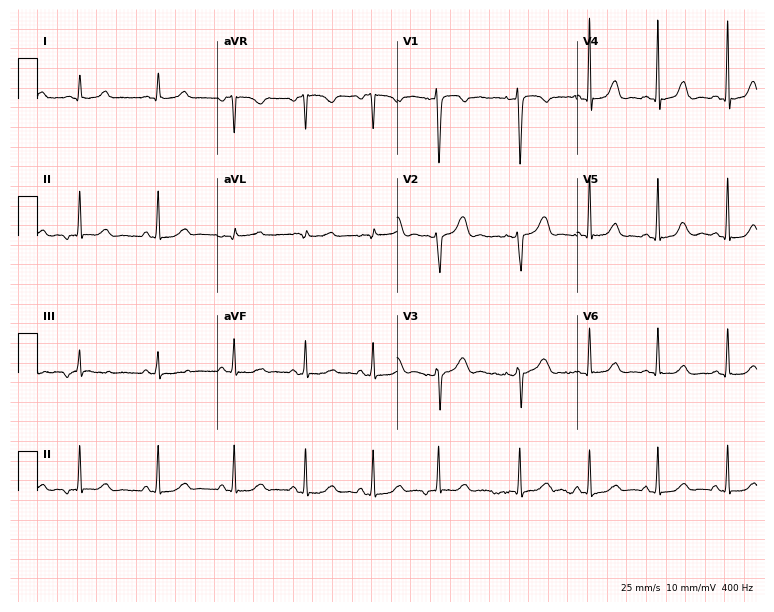
Standard 12-lead ECG recorded from a 43-year-old female. Read as a normal ECG.